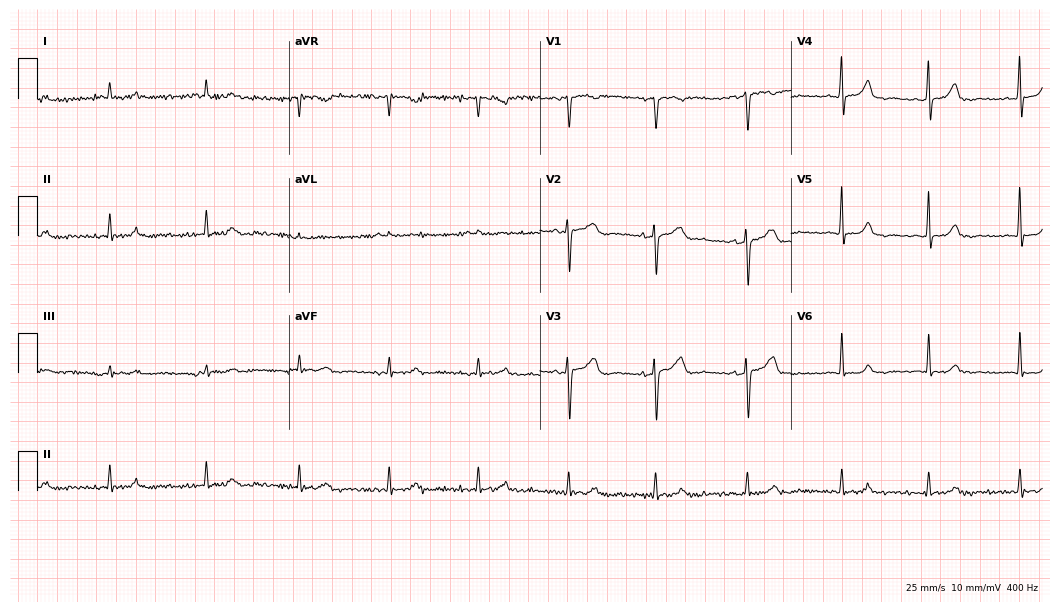
12-lead ECG from a female, 60 years old. No first-degree AV block, right bundle branch block (RBBB), left bundle branch block (LBBB), sinus bradycardia, atrial fibrillation (AF) or sinus tachycardia recorded for this tracing.